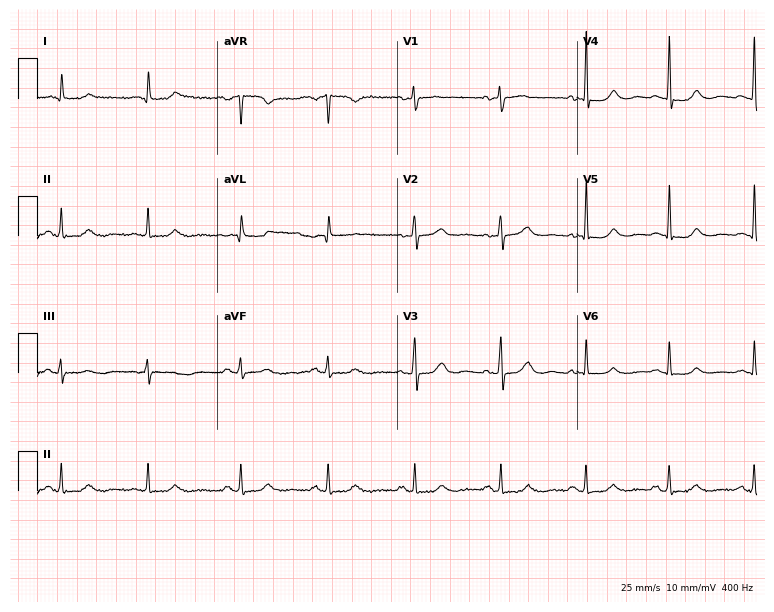
ECG (7.3-second recording at 400 Hz) — a 71-year-old female patient. Labelled as a normal ECG.